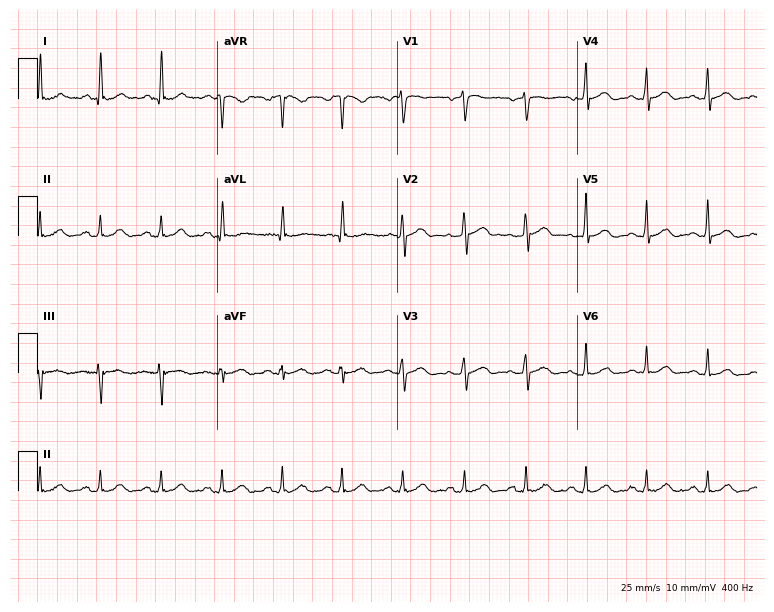
12-lead ECG from a man, 44 years old. Recorded interpretation: within normal limits.